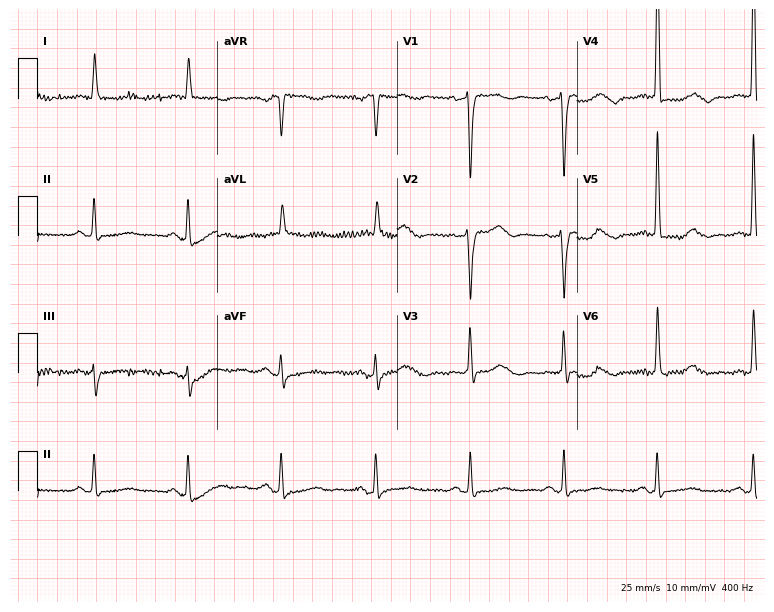
Electrocardiogram, an 81-year-old woman. Of the six screened findings (first-degree AV block, right bundle branch block, left bundle branch block, sinus bradycardia, atrial fibrillation, sinus tachycardia), none is recorded. Other findings, if any, are not listed.